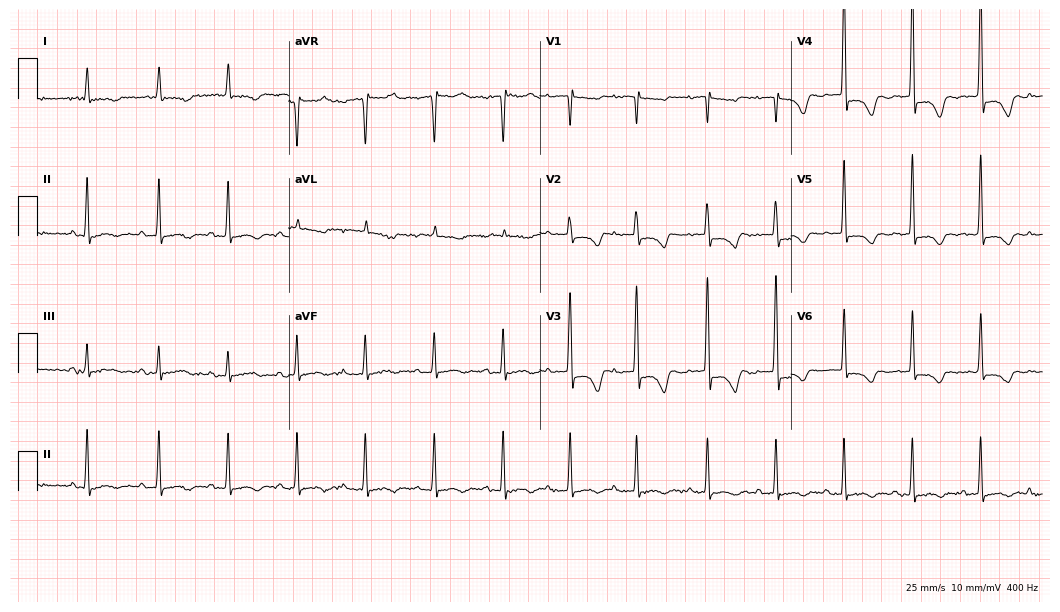
Resting 12-lead electrocardiogram. Patient: a female, 81 years old. The tracing shows first-degree AV block.